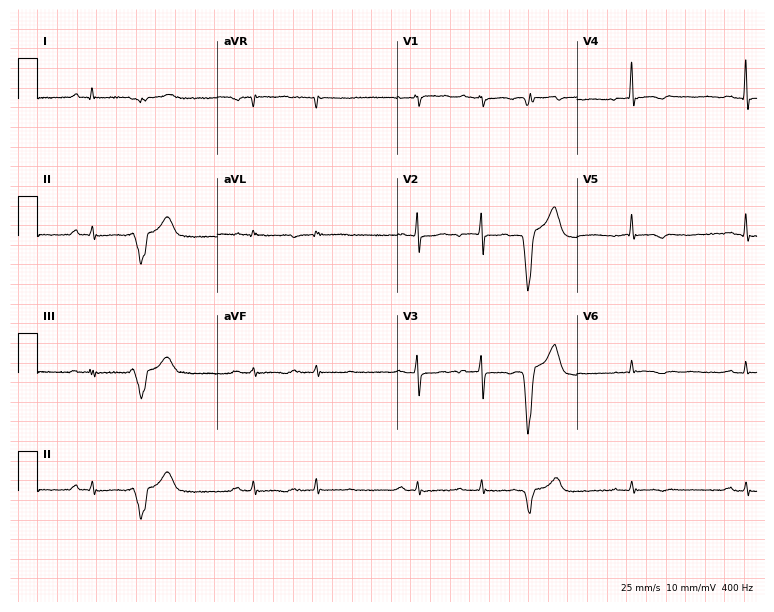
12-lead ECG (7.3-second recording at 400 Hz) from a 73-year-old male patient. Screened for six findings — first-degree AV block, right bundle branch block (RBBB), left bundle branch block (LBBB), sinus bradycardia, atrial fibrillation (AF), sinus tachycardia — none is recorded. Only these six findings were labelled.